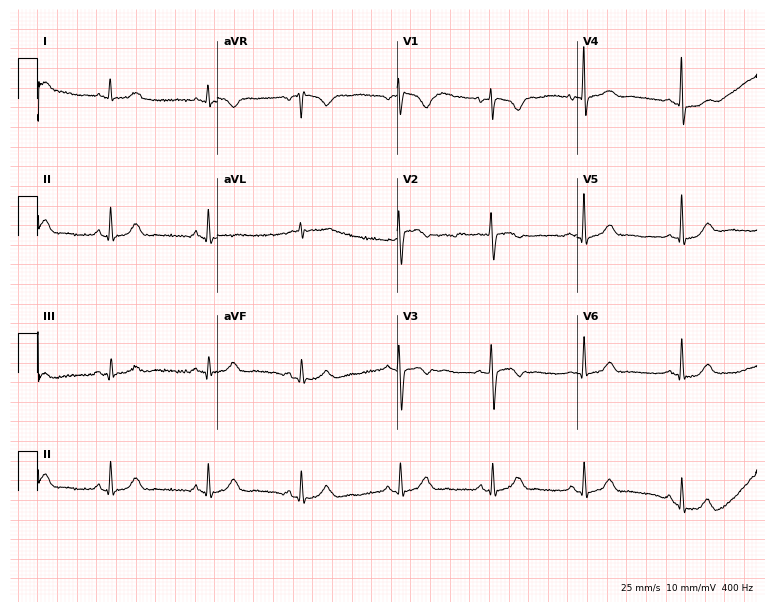
ECG (7.3-second recording at 400 Hz) — a woman, 37 years old. Labelled as a normal ECG.